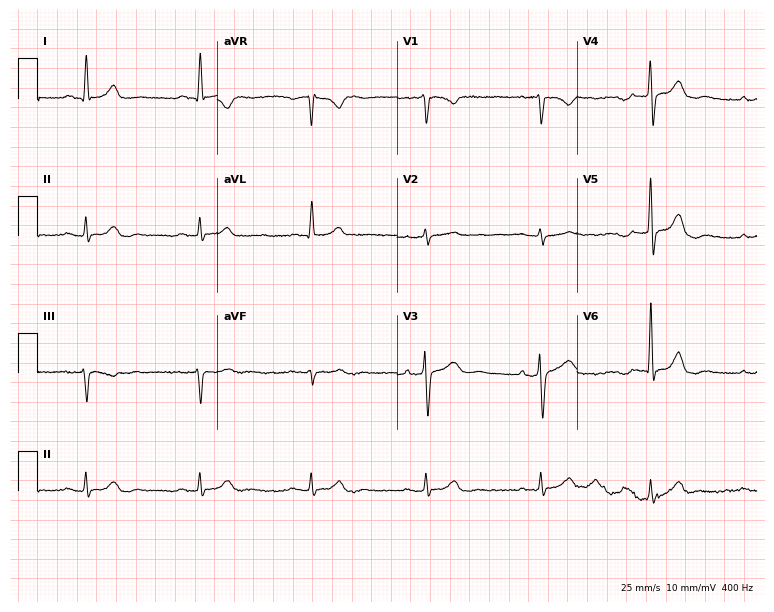
Resting 12-lead electrocardiogram. Patient: a 70-year-old male. Read as a normal ECG.